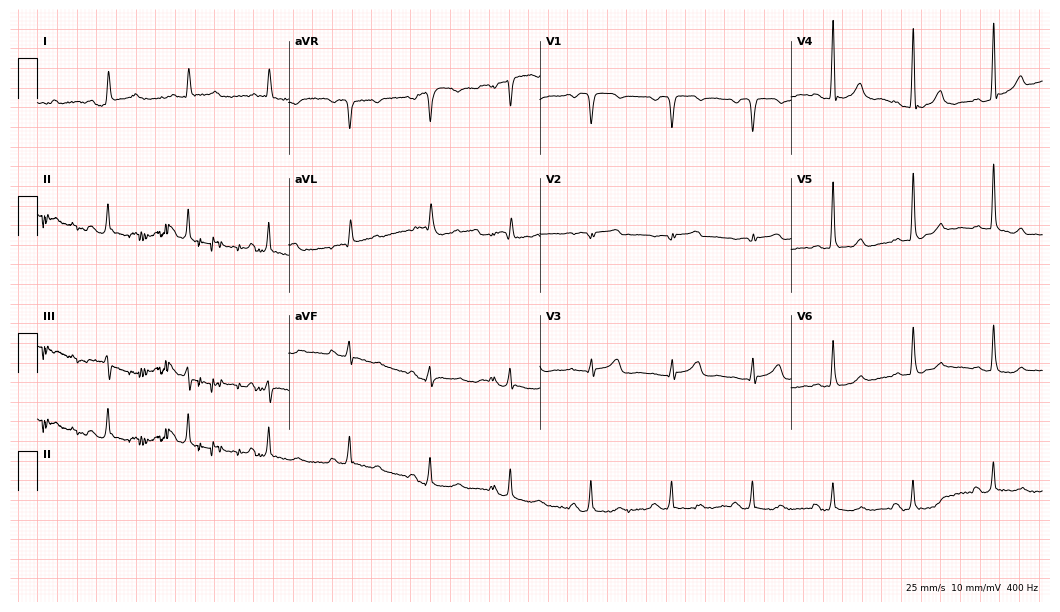
Resting 12-lead electrocardiogram. Patient: a 67-year-old male. None of these six findings is recorded: first-degree AV block, right bundle branch block, left bundle branch block, sinus bradycardia, atrial fibrillation, sinus tachycardia. Other findings, if any, are not listed.